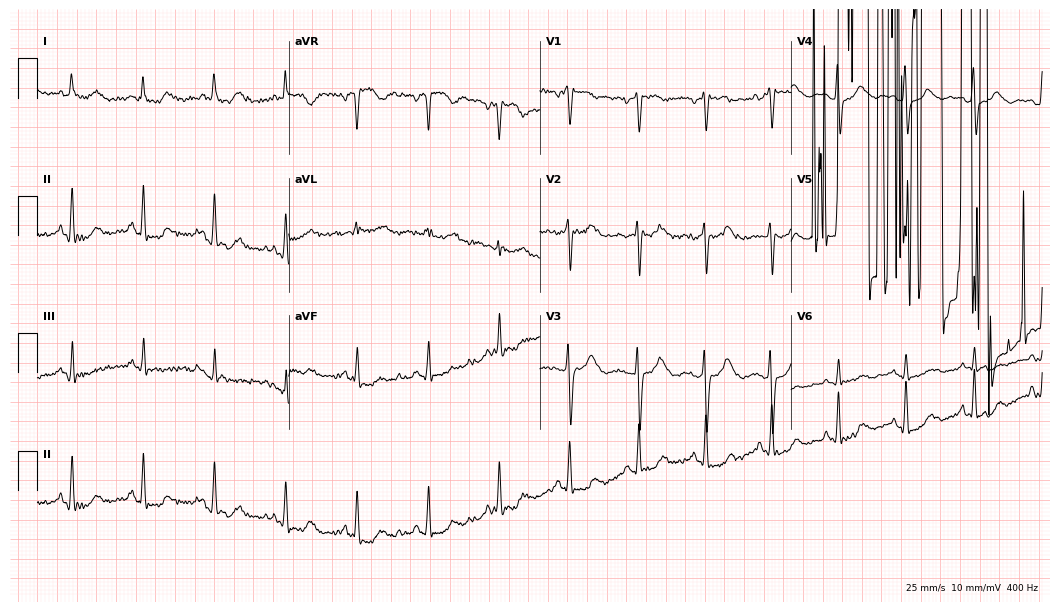
Electrocardiogram, a 77-year-old female. Of the six screened findings (first-degree AV block, right bundle branch block, left bundle branch block, sinus bradycardia, atrial fibrillation, sinus tachycardia), none is recorded.